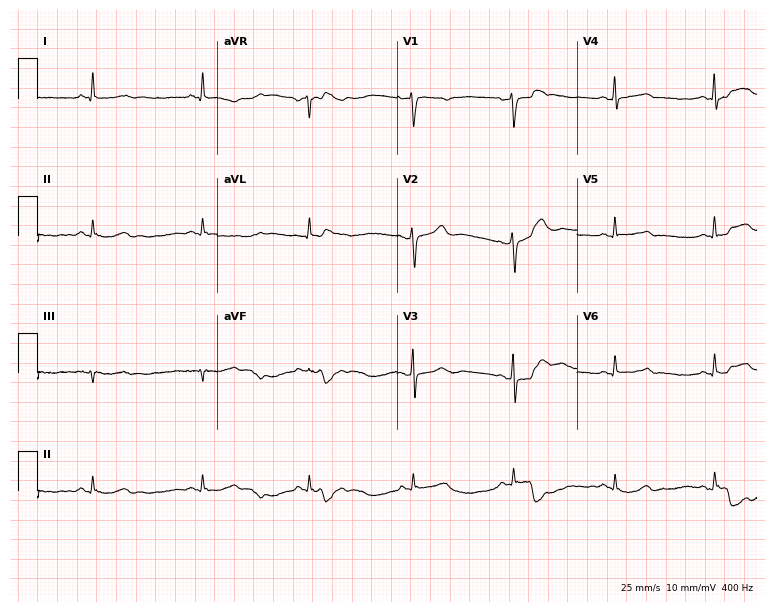
Resting 12-lead electrocardiogram. Patient: a 48-year-old woman. None of these six findings is recorded: first-degree AV block, right bundle branch block, left bundle branch block, sinus bradycardia, atrial fibrillation, sinus tachycardia.